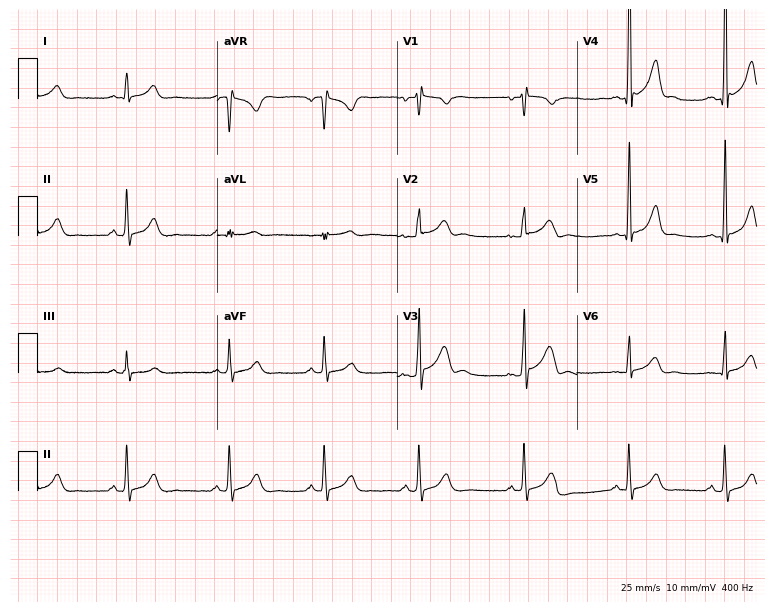
12-lead ECG from a male, 23 years old. Labelled as a normal ECG.